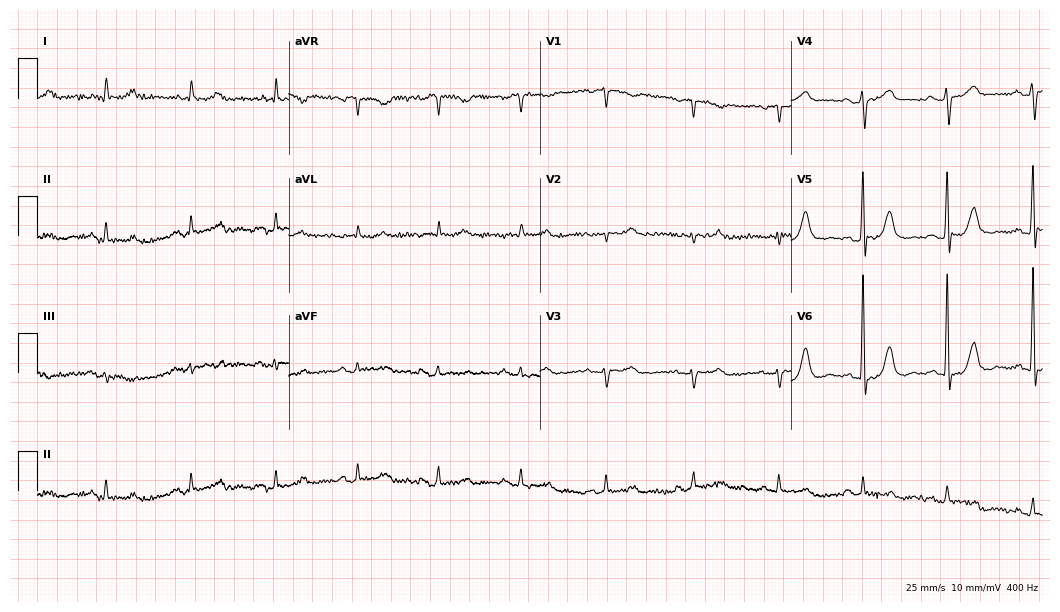
12-lead ECG from a female patient, 81 years old. Recorded interpretation: within normal limits.